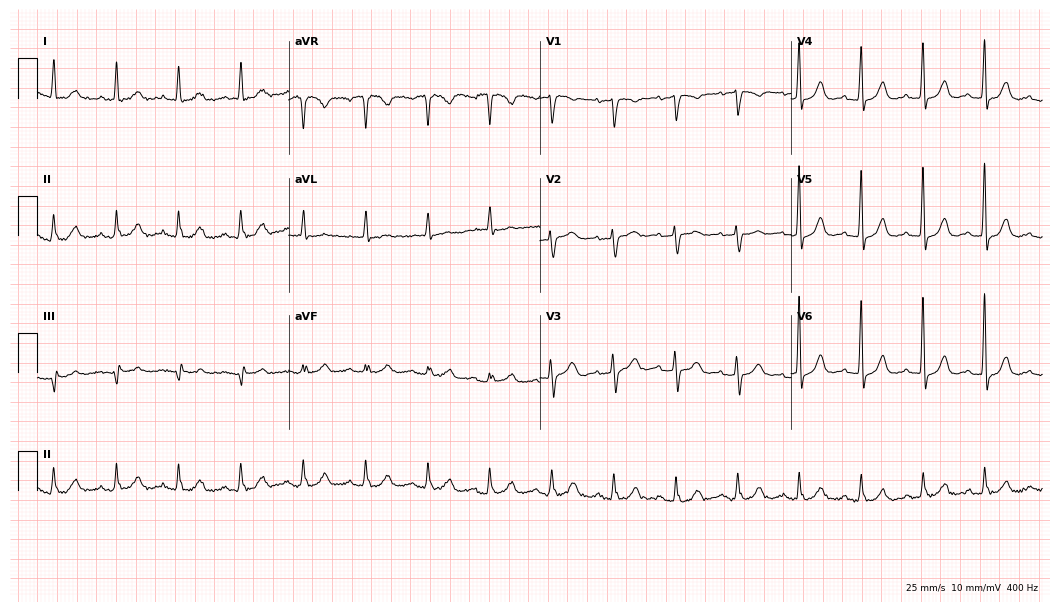
12-lead ECG from a female, 66 years old. Screened for six findings — first-degree AV block, right bundle branch block, left bundle branch block, sinus bradycardia, atrial fibrillation, sinus tachycardia — none is recorded.